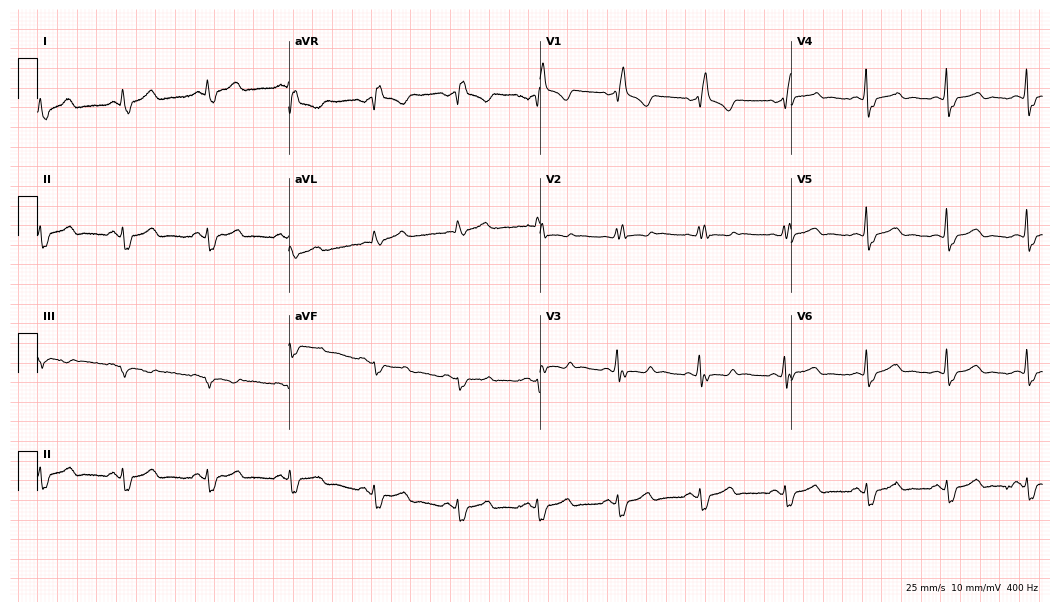
Electrocardiogram (10.2-second recording at 400 Hz), a female patient, 49 years old. Of the six screened findings (first-degree AV block, right bundle branch block, left bundle branch block, sinus bradycardia, atrial fibrillation, sinus tachycardia), none is recorded.